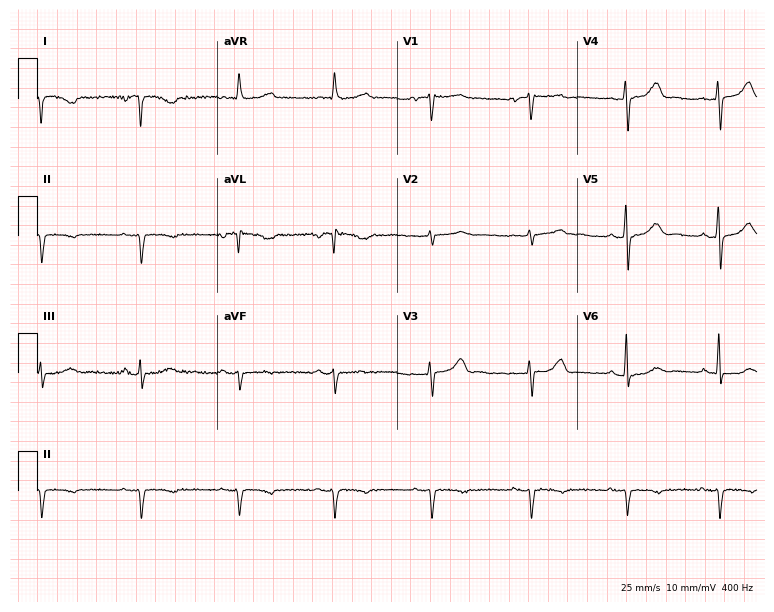
12-lead ECG from a 59-year-old woman. No first-degree AV block, right bundle branch block (RBBB), left bundle branch block (LBBB), sinus bradycardia, atrial fibrillation (AF) or sinus tachycardia recorded for this tracing. Findings outside these six are not listed.